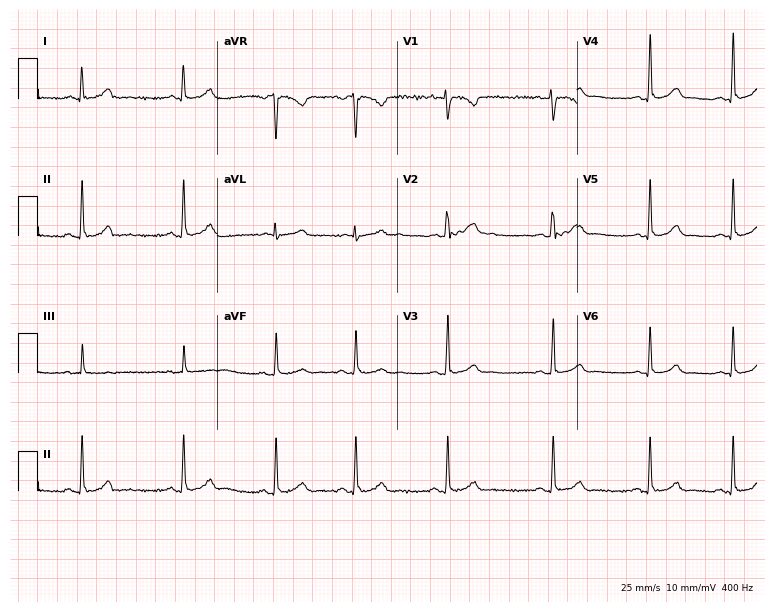
Electrocardiogram, a 28-year-old woman. Overall reading on record: normal ECG.